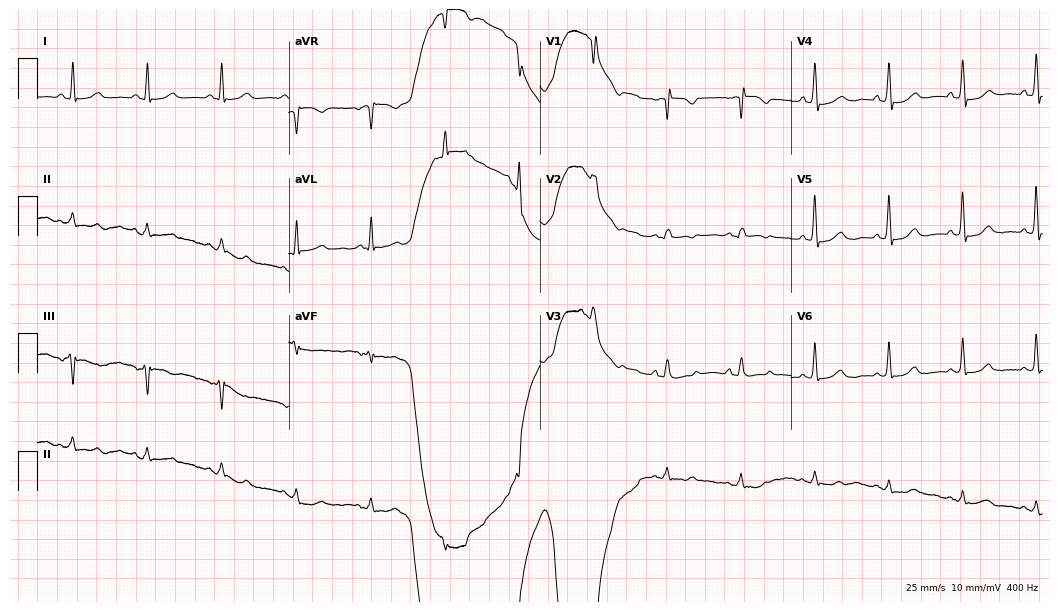
12-lead ECG (10.2-second recording at 400 Hz) from an 82-year-old male. Labelled as a normal ECG.